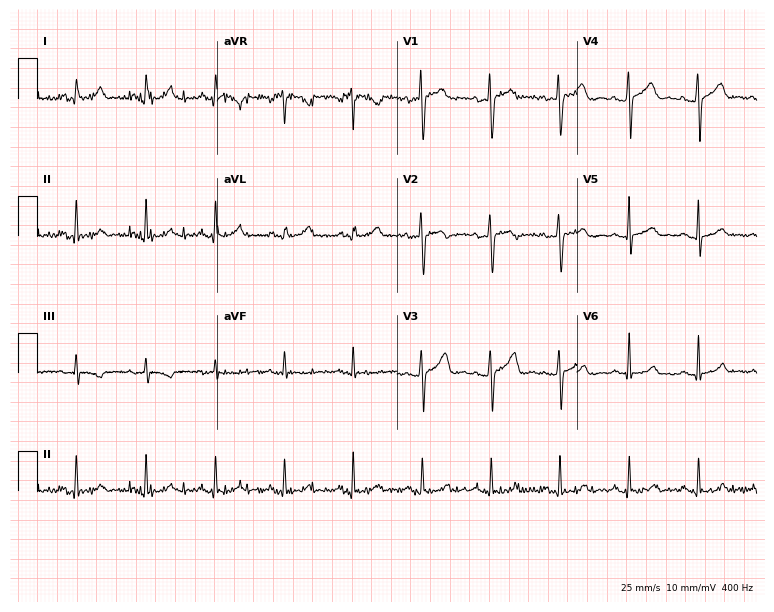
Standard 12-lead ECG recorded from a female patient, 31 years old. None of these six findings is recorded: first-degree AV block, right bundle branch block, left bundle branch block, sinus bradycardia, atrial fibrillation, sinus tachycardia. Other findings, if any, are not listed.